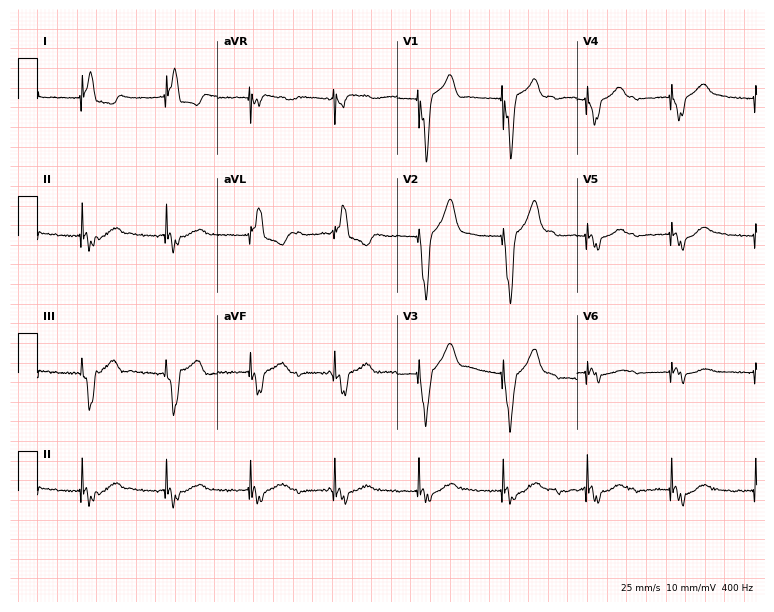
Standard 12-lead ECG recorded from a female, 80 years old. None of these six findings is recorded: first-degree AV block, right bundle branch block (RBBB), left bundle branch block (LBBB), sinus bradycardia, atrial fibrillation (AF), sinus tachycardia.